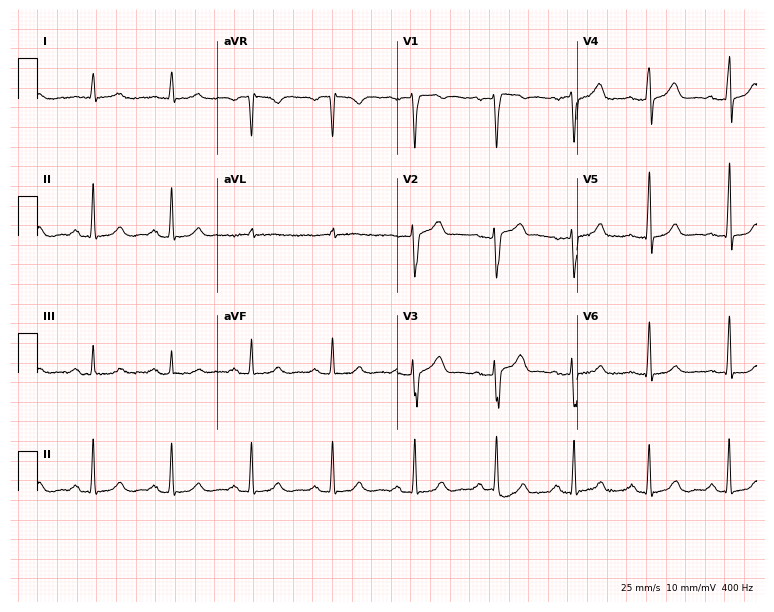
Electrocardiogram, a 67-year-old male. Overall reading on record: normal ECG.